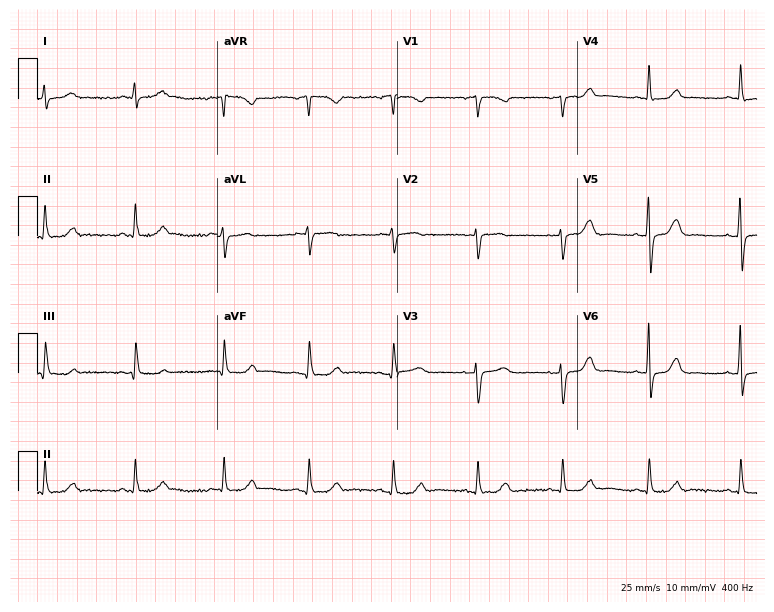
ECG — a 47-year-old female. Labelled as a normal ECG.